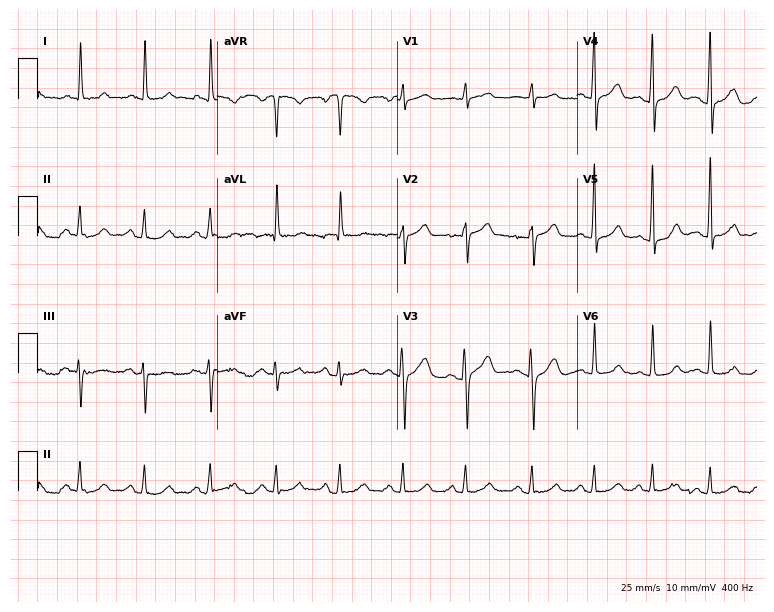
12-lead ECG from a female, 67 years old. Recorded interpretation: within normal limits.